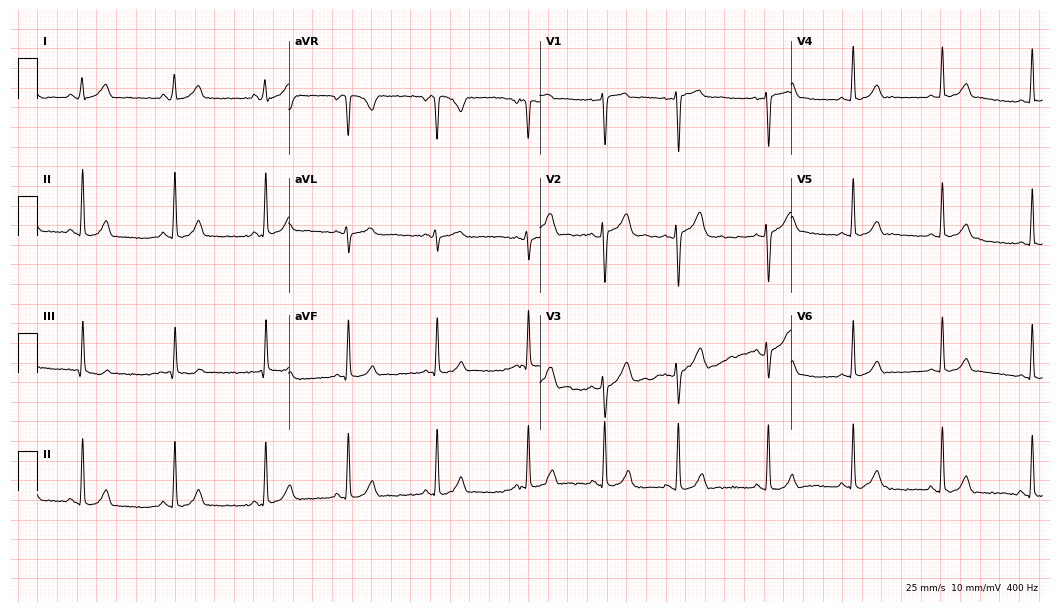
Standard 12-lead ECG recorded from a 22-year-old female patient. Read as a normal ECG.